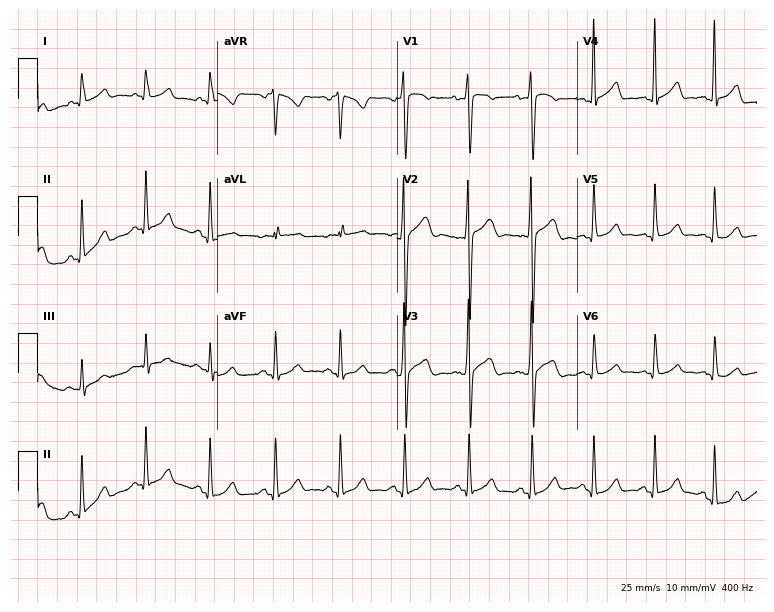
Resting 12-lead electrocardiogram (7.3-second recording at 400 Hz). Patient: a 23-year-old male. Read as a normal ECG.